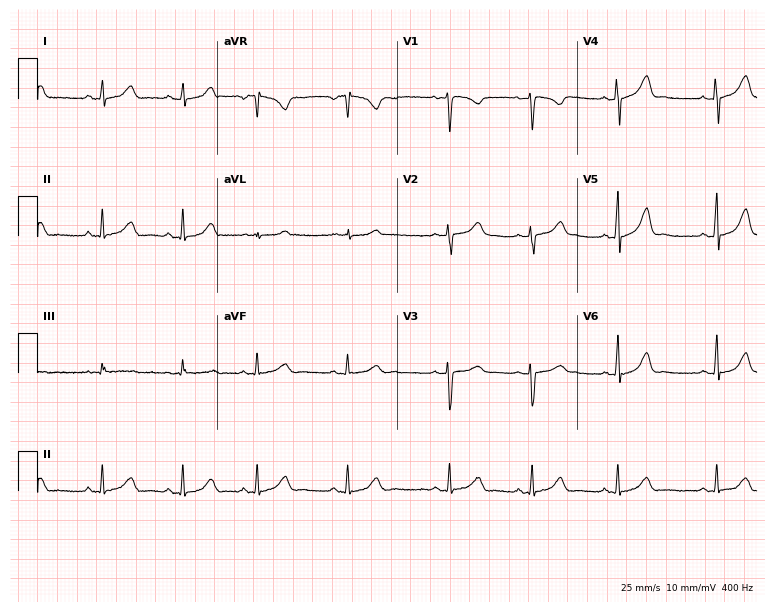
12-lead ECG from a female patient, 25 years old (7.3-second recording at 400 Hz). Recorded interpretation: within normal limits.